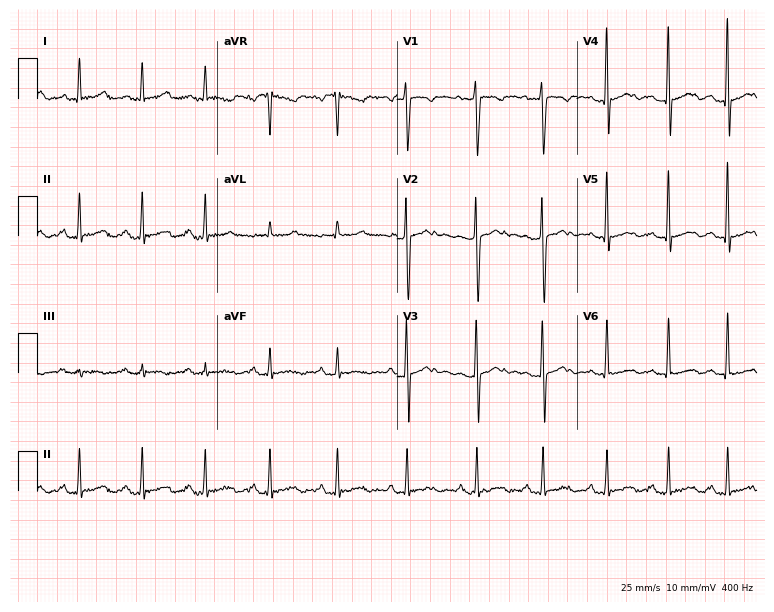
ECG — a 34-year-old woman. Screened for six findings — first-degree AV block, right bundle branch block (RBBB), left bundle branch block (LBBB), sinus bradycardia, atrial fibrillation (AF), sinus tachycardia — none is recorded. Findings outside these six are not listed.